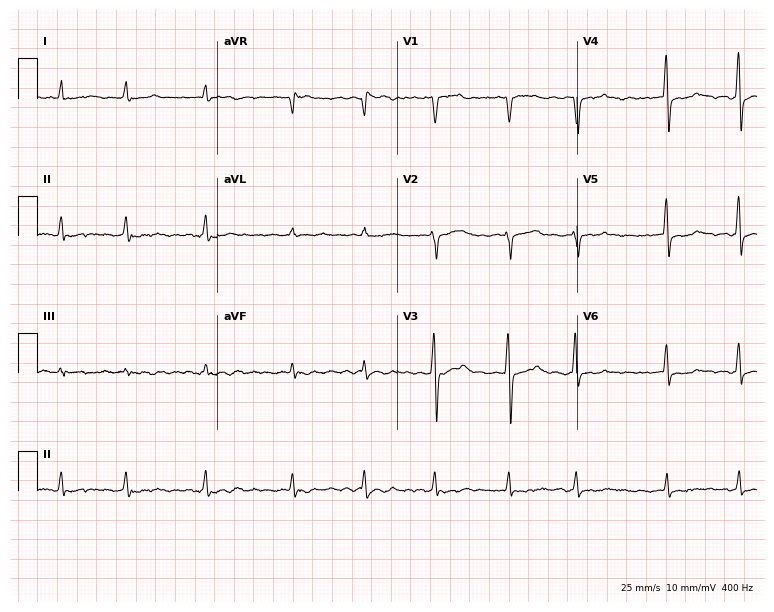
Standard 12-lead ECG recorded from a 51-year-old man (7.3-second recording at 400 Hz). The tracing shows atrial fibrillation.